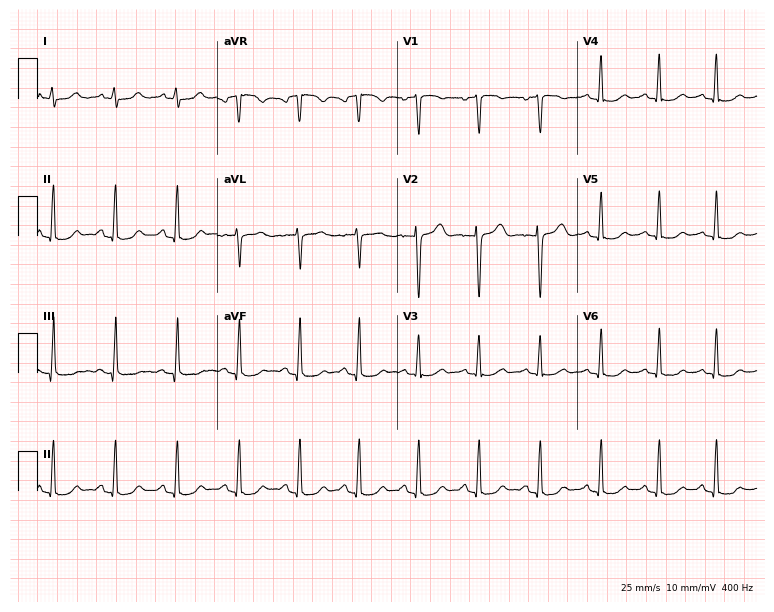
ECG — a 32-year-old woman. Screened for six findings — first-degree AV block, right bundle branch block, left bundle branch block, sinus bradycardia, atrial fibrillation, sinus tachycardia — none is recorded. Findings outside these six are not listed.